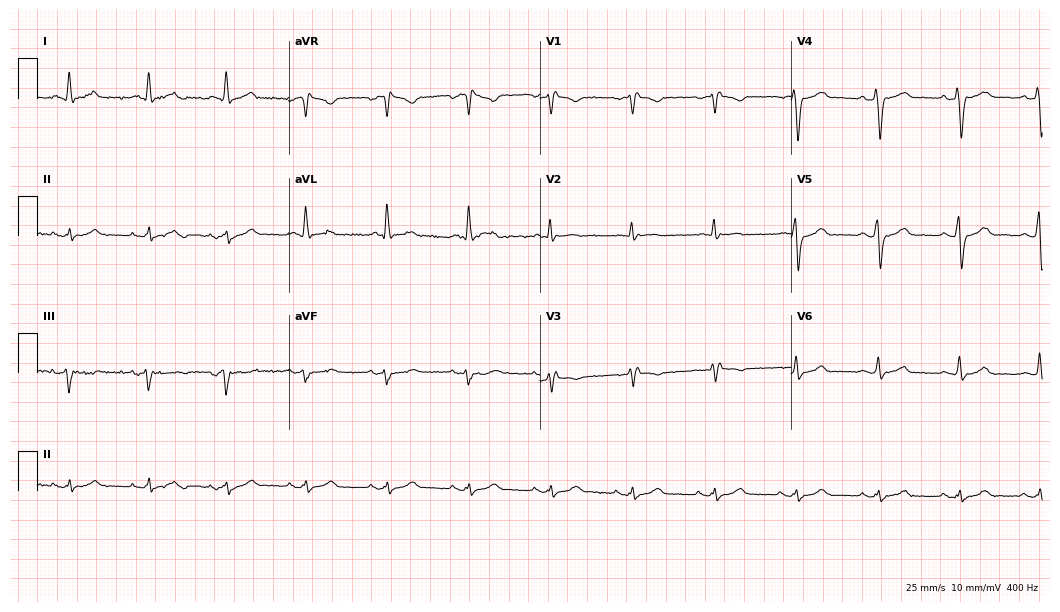
12-lead ECG from a 59-year-old male. Screened for six findings — first-degree AV block, right bundle branch block (RBBB), left bundle branch block (LBBB), sinus bradycardia, atrial fibrillation (AF), sinus tachycardia — none is recorded. Findings outside these six are not listed.